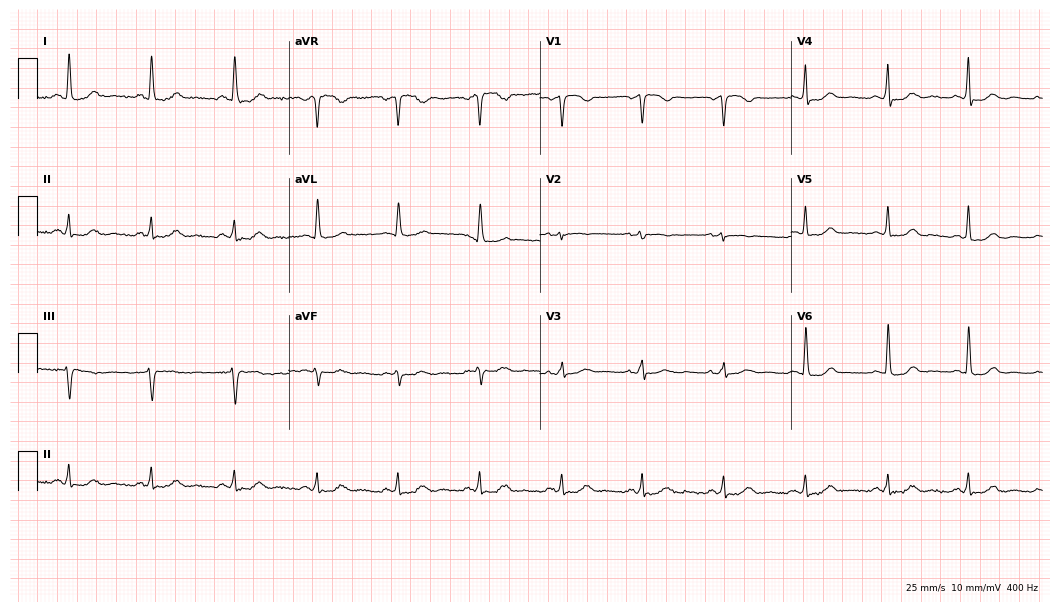
12-lead ECG from a 55-year-old woman. Recorded interpretation: within normal limits.